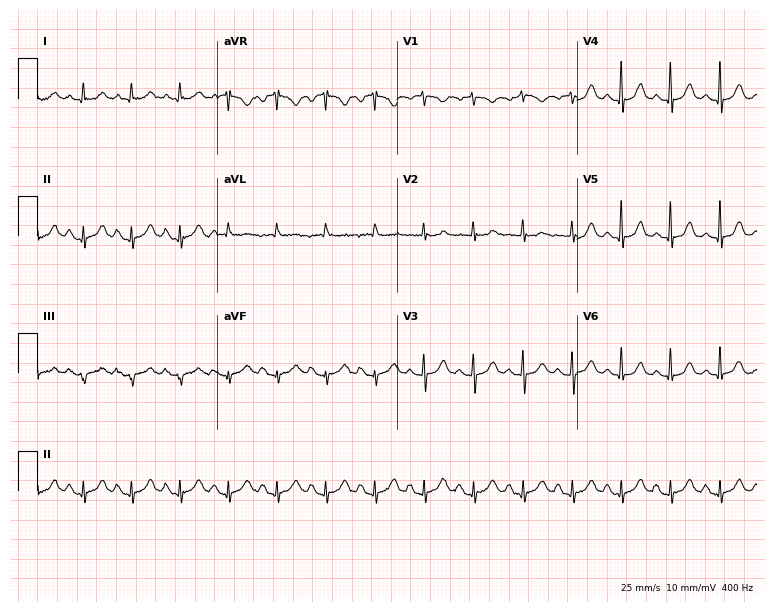
Standard 12-lead ECG recorded from a 78-year-old female. The tracing shows sinus tachycardia (a sinus rate of 100 beats per minute or more).